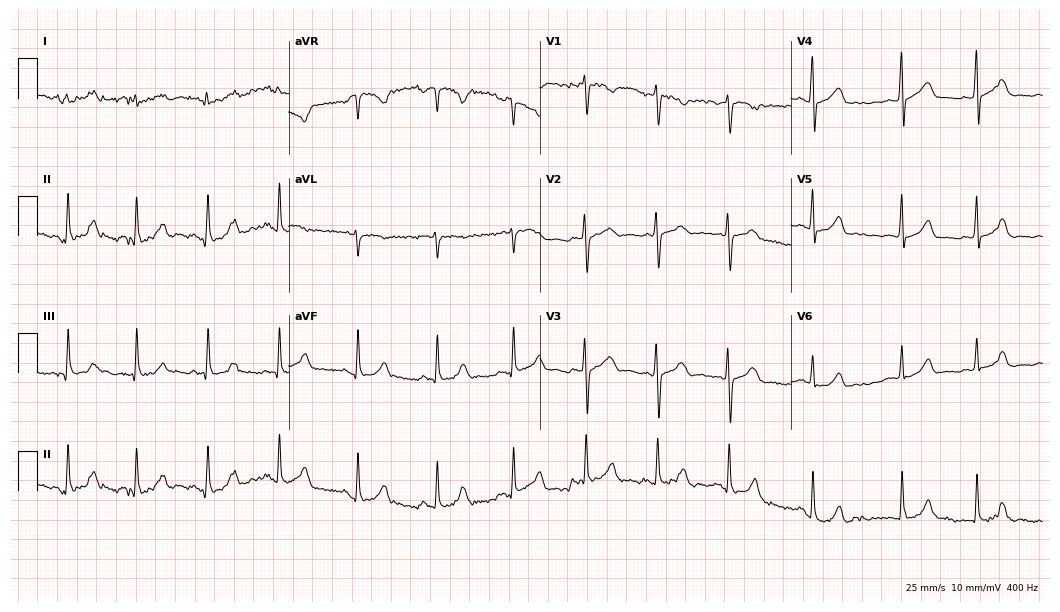
12-lead ECG from a woman, 28 years old. Recorded interpretation: within normal limits.